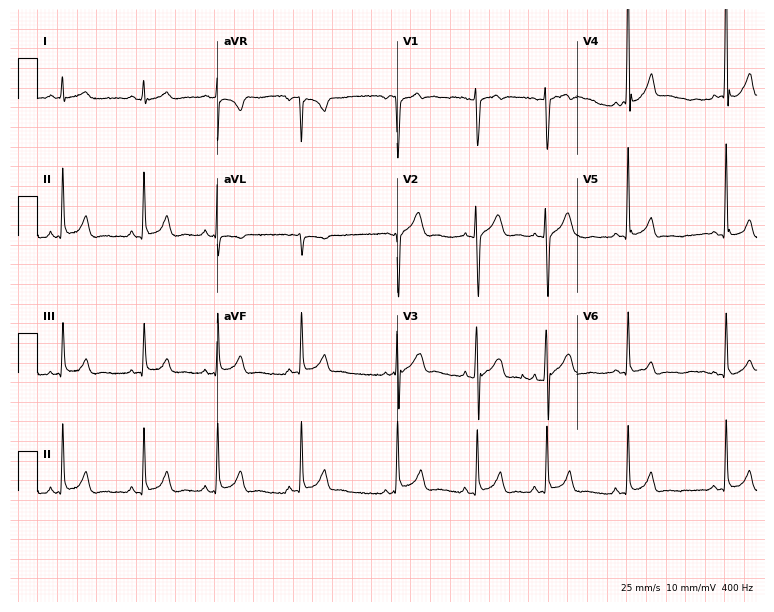
Standard 12-lead ECG recorded from a 17-year-old male patient (7.3-second recording at 400 Hz). Read as a normal ECG.